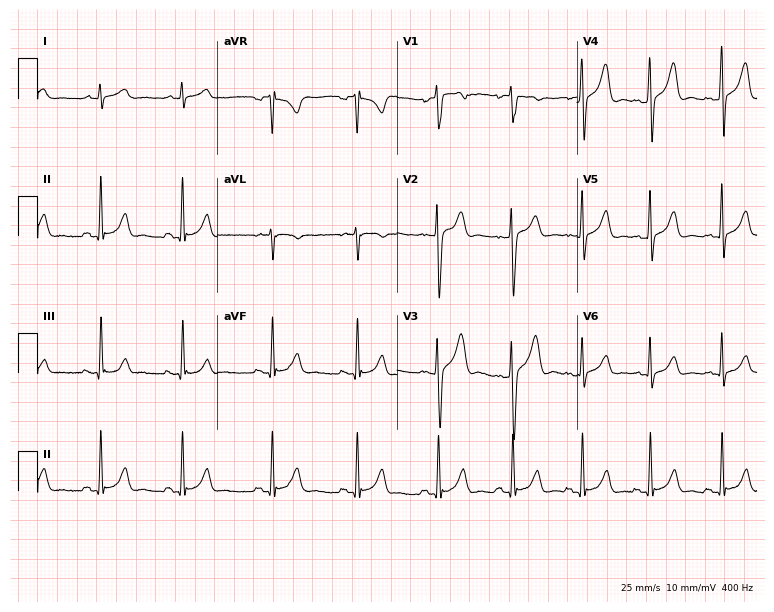
Resting 12-lead electrocardiogram (7.3-second recording at 400 Hz). Patient: a man, 18 years old. Read as a normal ECG.